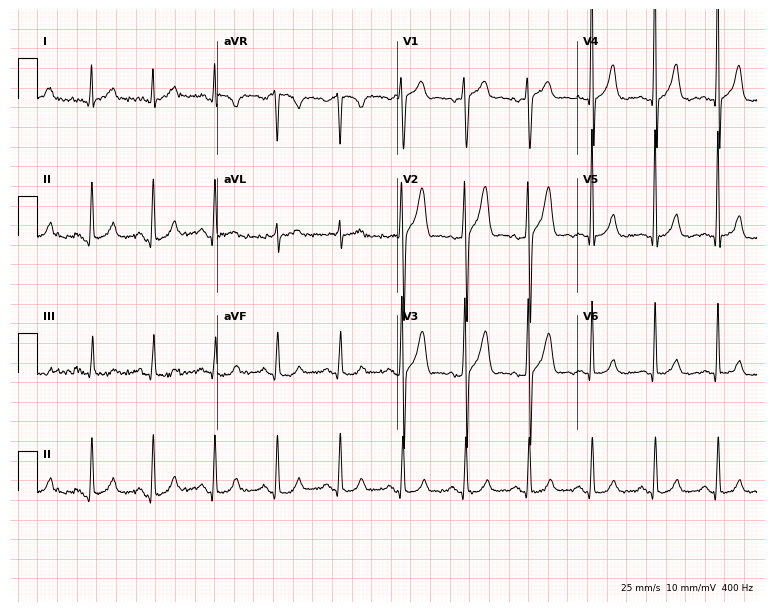
12-lead ECG from a male, 55 years old. No first-degree AV block, right bundle branch block (RBBB), left bundle branch block (LBBB), sinus bradycardia, atrial fibrillation (AF) or sinus tachycardia recorded for this tracing.